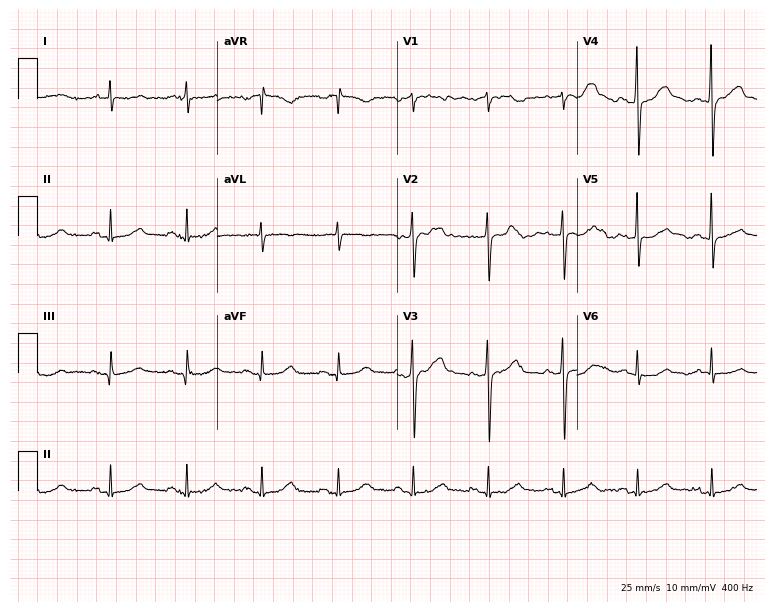
Standard 12-lead ECG recorded from an 82-year-old male patient (7.3-second recording at 400 Hz). Read as a normal ECG.